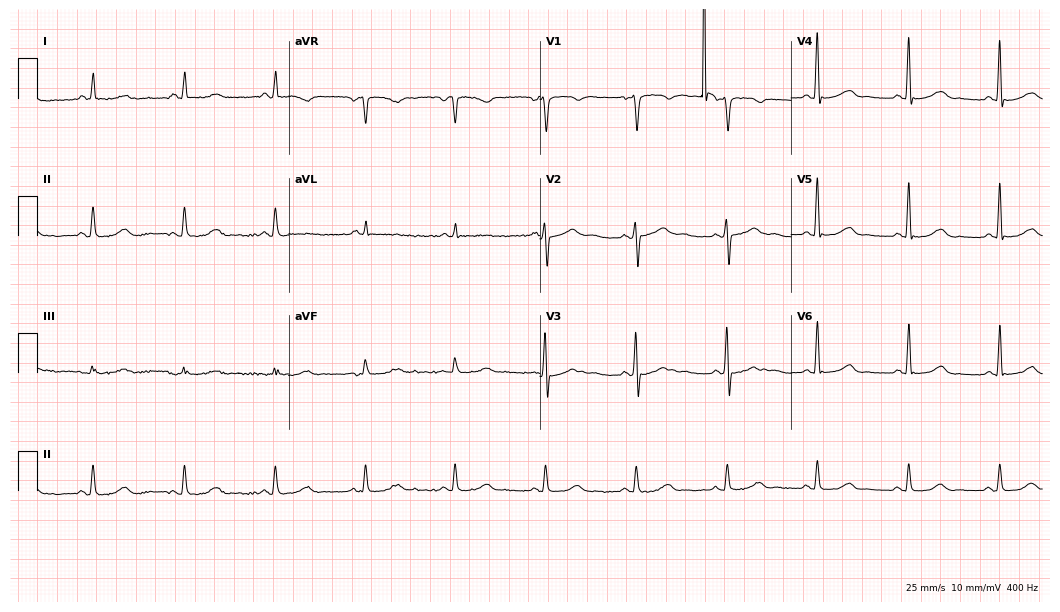
12-lead ECG (10.2-second recording at 400 Hz) from a 58-year-old woman. Labelled as a normal ECG.